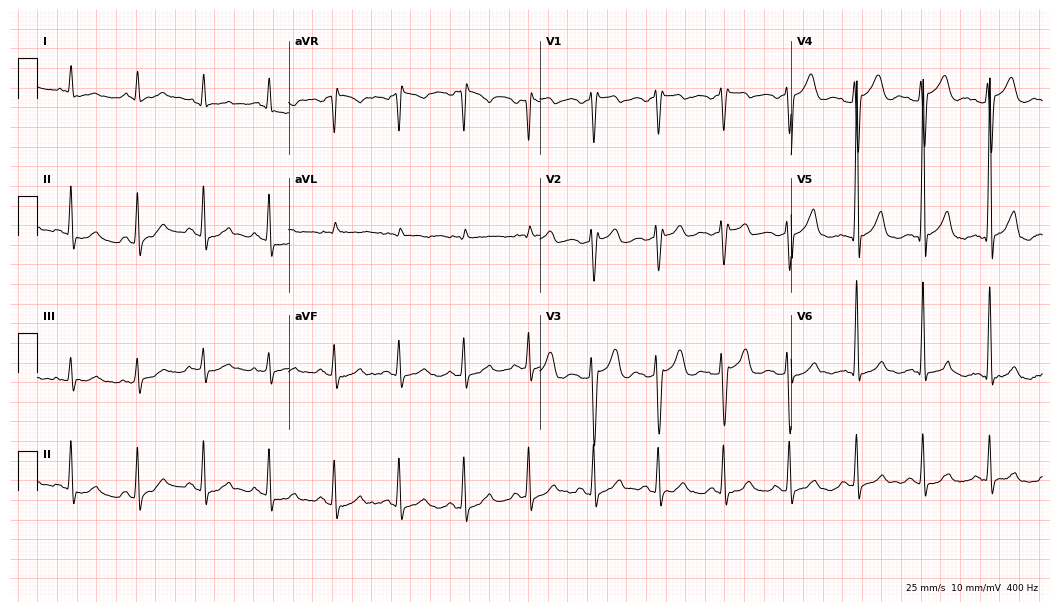
12-lead ECG from a male, 71 years old. No first-degree AV block, right bundle branch block, left bundle branch block, sinus bradycardia, atrial fibrillation or sinus tachycardia recorded for this tracing.